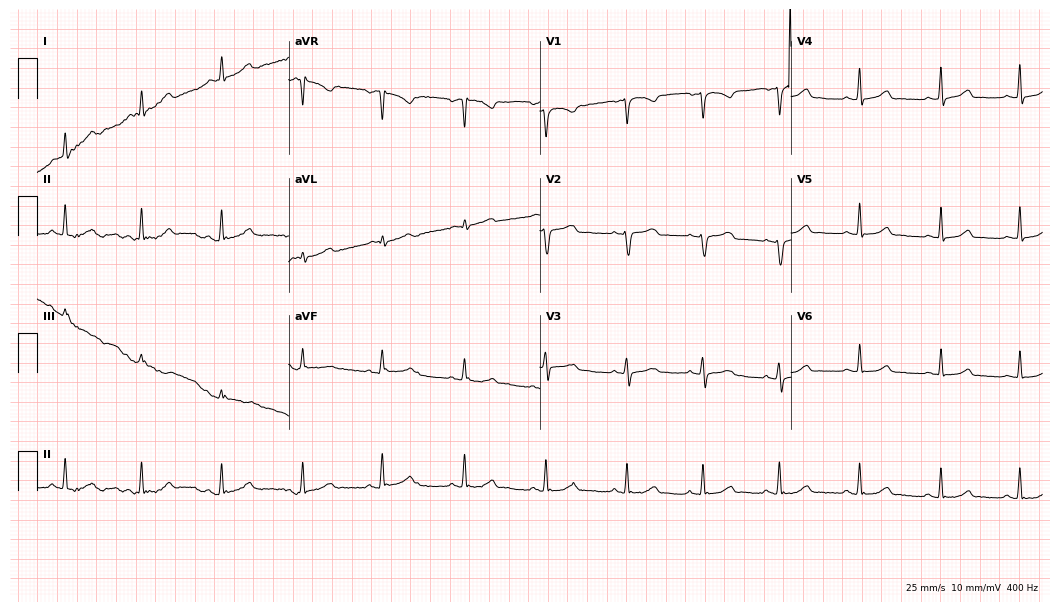
Resting 12-lead electrocardiogram. Patient: a 25-year-old woman. None of these six findings is recorded: first-degree AV block, right bundle branch block, left bundle branch block, sinus bradycardia, atrial fibrillation, sinus tachycardia. Only these six findings were labelled.